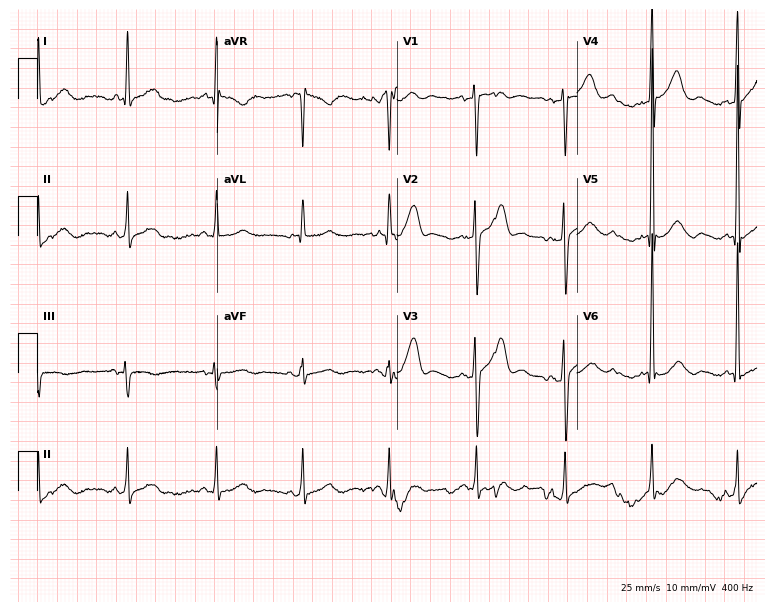
Standard 12-lead ECG recorded from a 61-year-old man. None of these six findings is recorded: first-degree AV block, right bundle branch block, left bundle branch block, sinus bradycardia, atrial fibrillation, sinus tachycardia. Only these six findings were labelled.